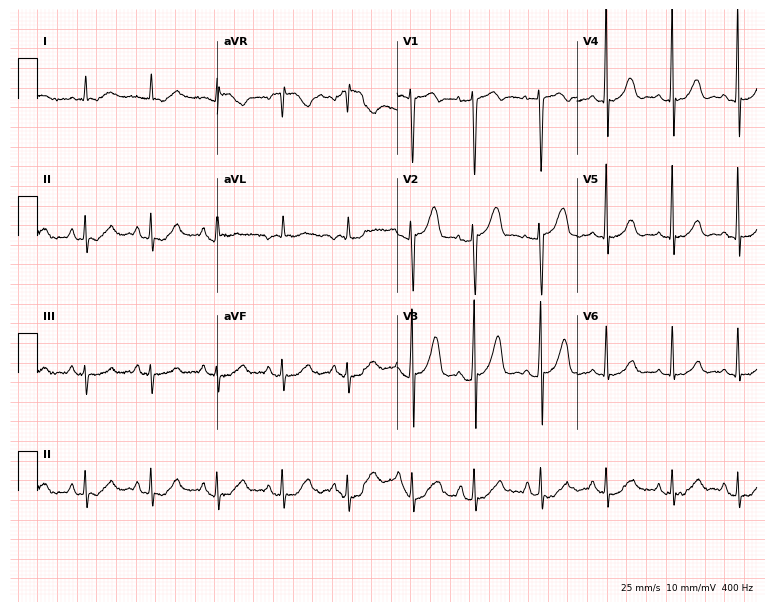
Standard 12-lead ECG recorded from a woman, 65 years old. None of these six findings is recorded: first-degree AV block, right bundle branch block (RBBB), left bundle branch block (LBBB), sinus bradycardia, atrial fibrillation (AF), sinus tachycardia.